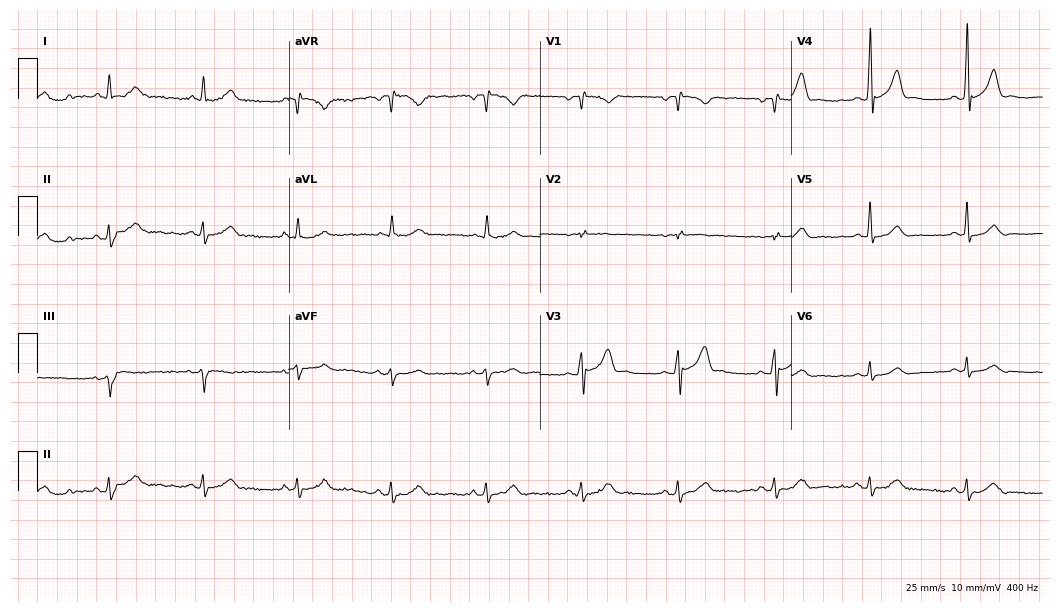
12-lead ECG from a male patient, 50 years old (10.2-second recording at 400 Hz). No first-degree AV block, right bundle branch block, left bundle branch block, sinus bradycardia, atrial fibrillation or sinus tachycardia recorded for this tracing. Only these six findings were labelled.